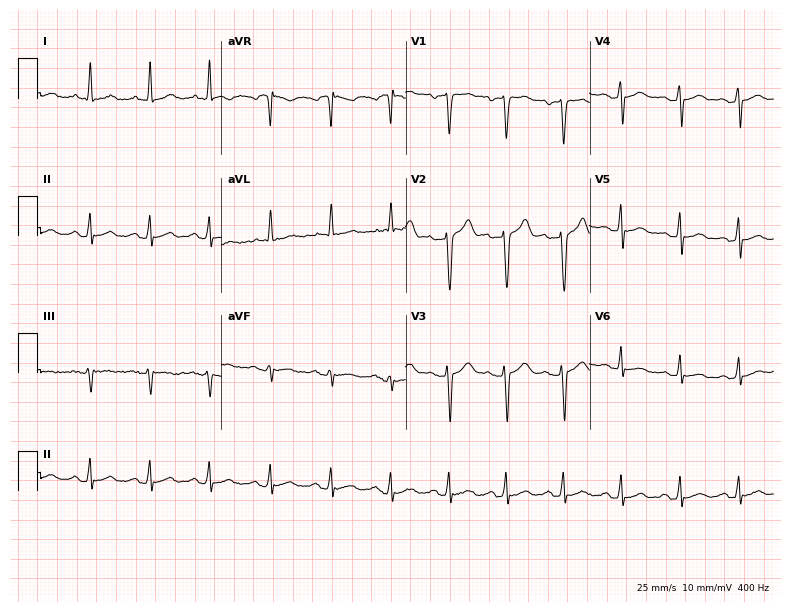
12-lead ECG (7.5-second recording at 400 Hz) from a man, 34 years old. Screened for six findings — first-degree AV block, right bundle branch block, left bundle branch block, sinus bradycardia, atrial fibrillation, sinus tachycardia — none is recorded. Findings outside these six are not listed.